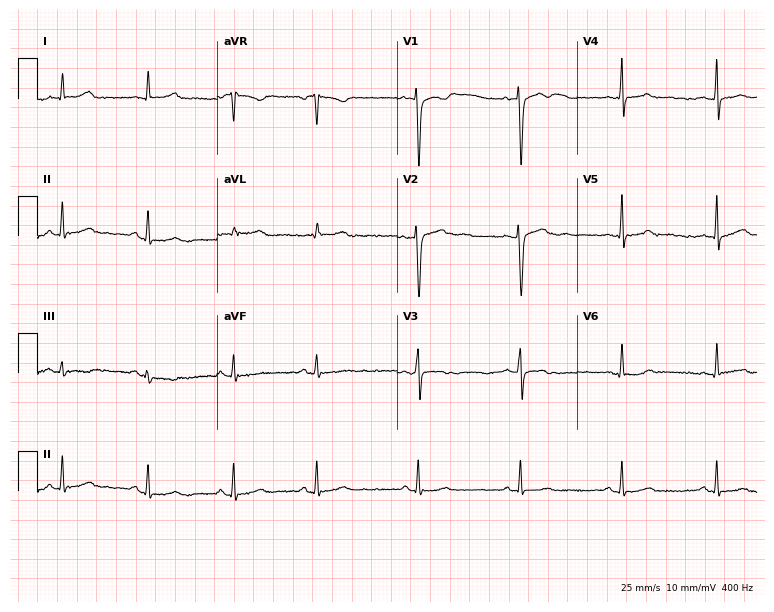
Resting 12-lead electrocardiogram. Patient: a 24-year-old female. None of these six findings is recorded: first-degree AV block, right bundle branch block, left bundle branch block, sinus bradycardia, atrial fibrillation, sinus tachycardia.